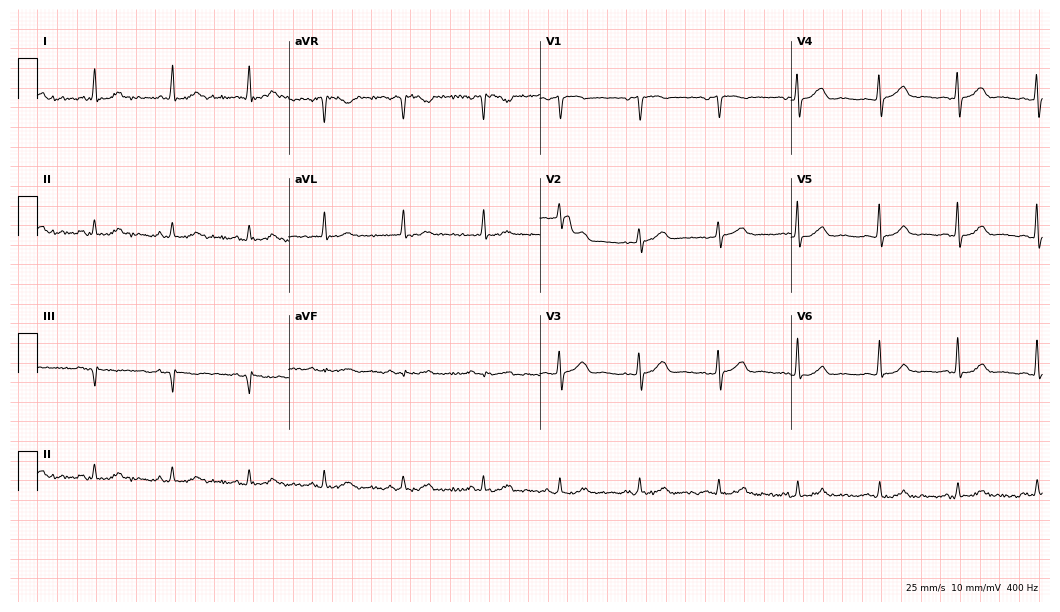
Electrocardiogram, a female, 59 years old. Overall reading on record: normal ECG.